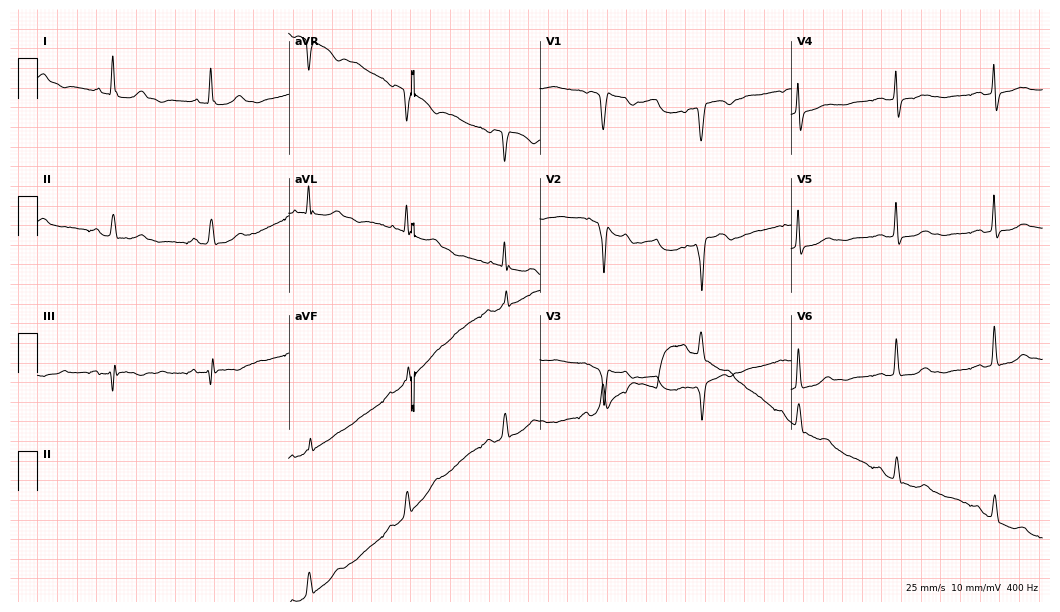
12-lead ECG (10.2-second recording at 400 Hz) from a woman, 56 years old. Screened for six findings — first-degree AV block, right bundle branch block, left bundle branch block, sinus bradycardia, atrial fibrillation, sinus tachycardia — none is recorded.